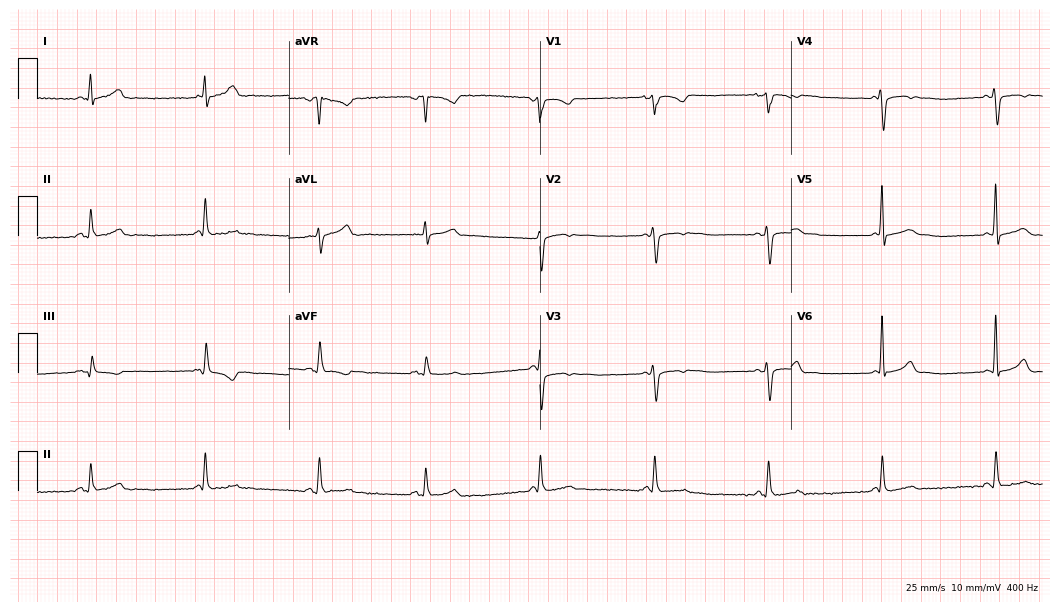
Resting 12-lead electrocardiogram. Patient: a female, 27 years old. Read as a normal ECG.